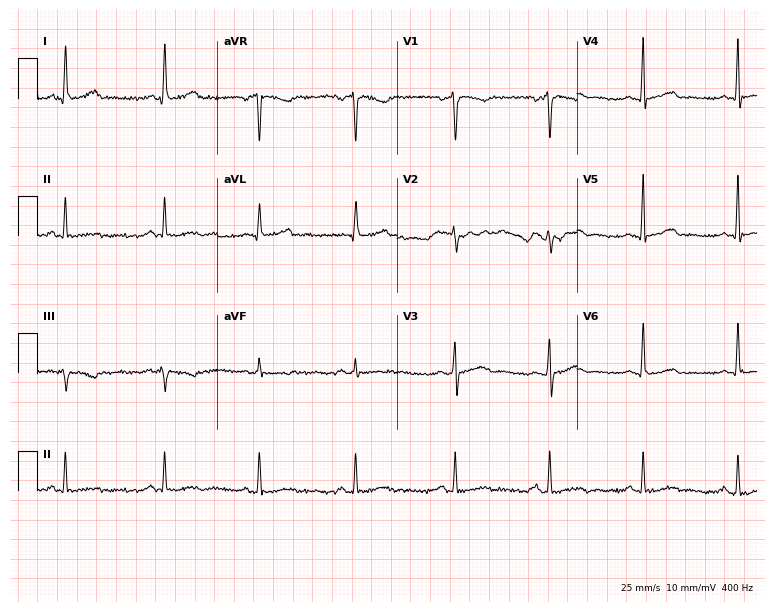
ECG (7.3-second recording at 400 Hz) — a woman, 46 years old. Labelled as a normal ECG.